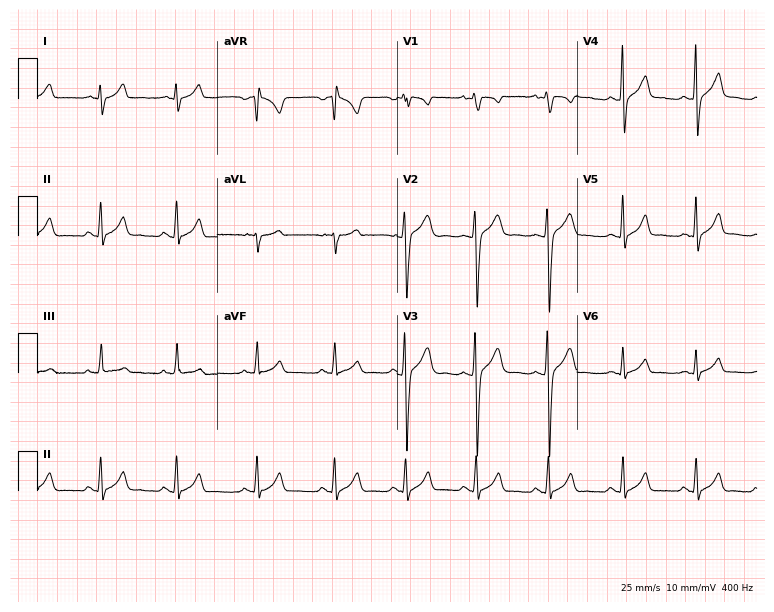
Standard 12-lead ECG recorded from a man, 19 years old (7.3-second recording at 400 Hz). Read as a normal ECG.